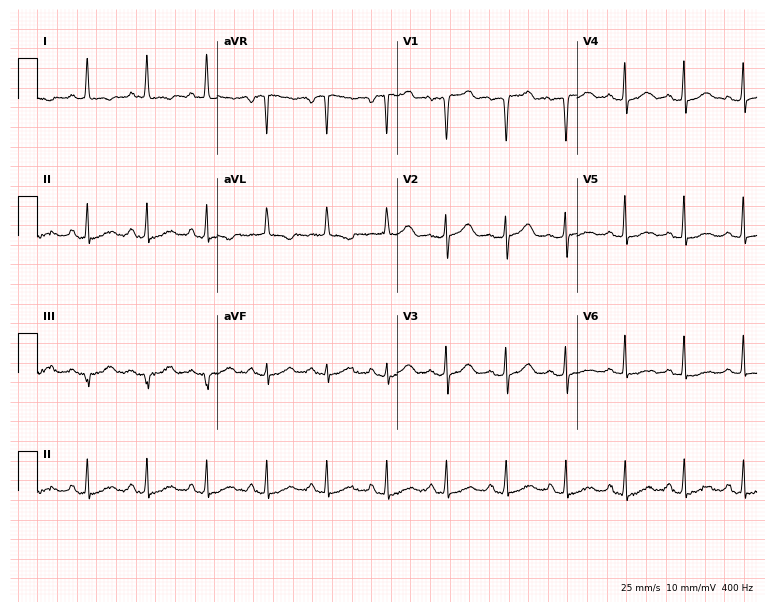
ECG — a woman, 70 years old. Labelled as a normal ECG.